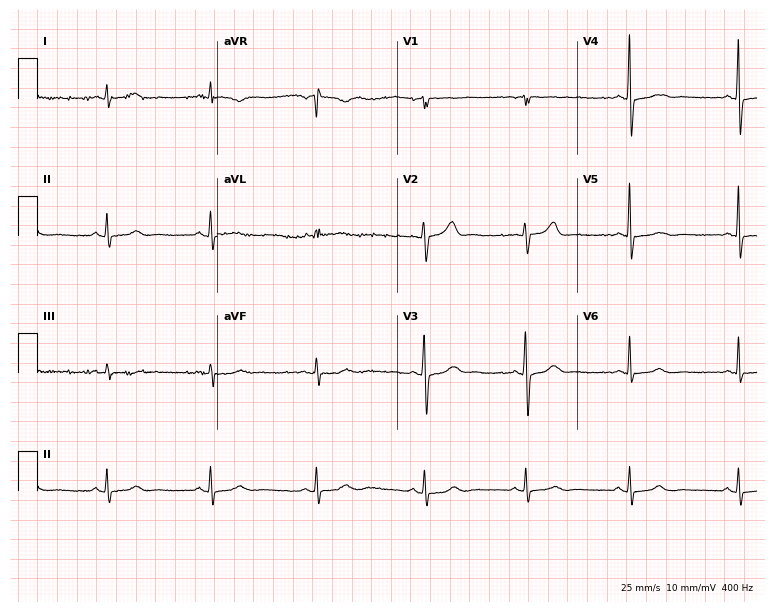
12-lead ECG (7.3-second recording at 400 Hz) from a 44-year-old woman. Screened for six findings — first-degree AV block, right bundle branch block, left bundle branch block, sinus bradycardia, atrial fibrillation, sinus tachycardia — none is recorded.